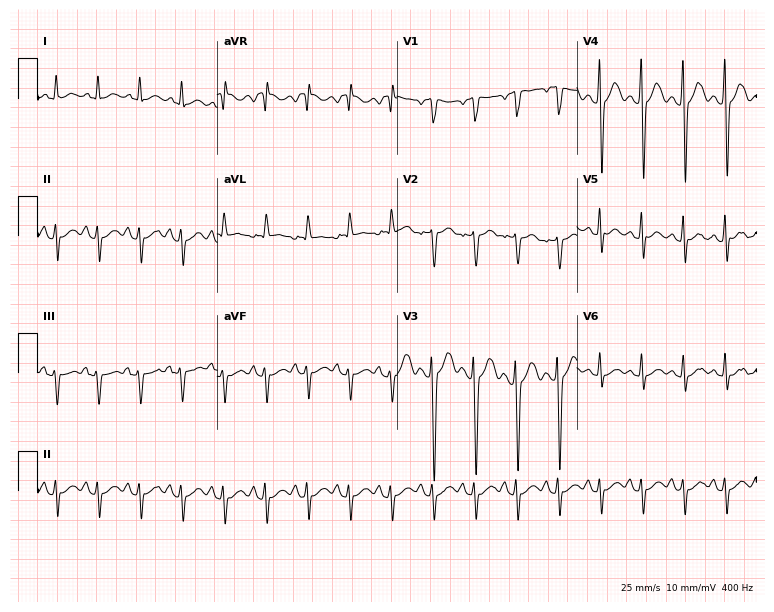
12-lead ECG (7.3-second recording at 400 Hz) from a 35-year-old male patient. Findings include sinus tachycardia (a sinus rate of 100 beats per minute or more).